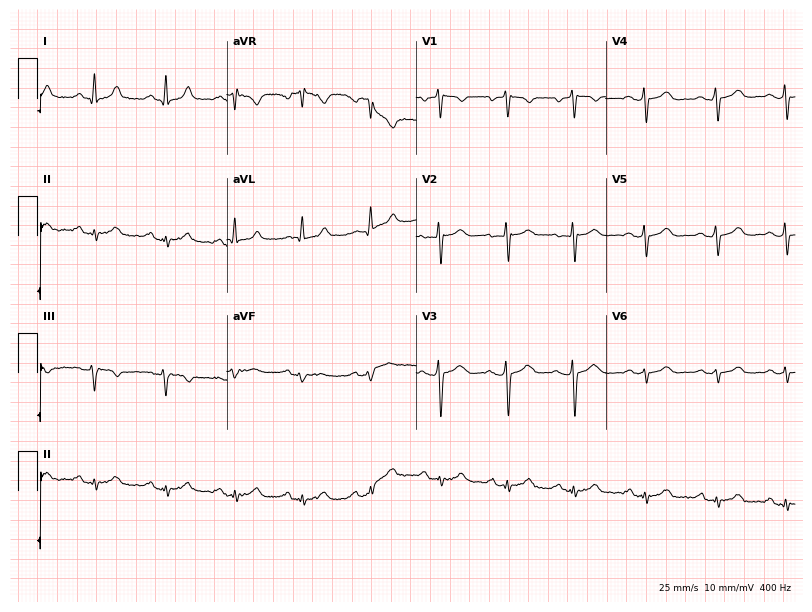
12-lead ECG (7.7-second recording at 400 Hz) from a 66-year-old female patient. Screened for six findings — first-degree AV block, right bundle branch block, left bundle branch block, sinus bradycardia, atrial fibrillation, sinus tachycardia — none is recorded.